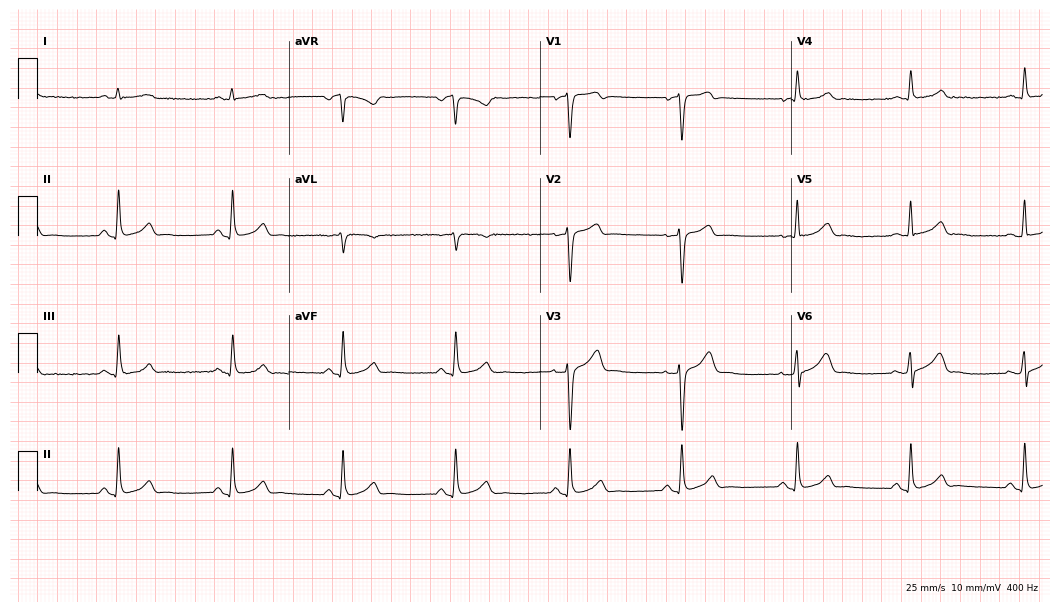
Resting 12-lead electrocardiogram. Patient: a 40-year-old male. Read as a normal ECG.